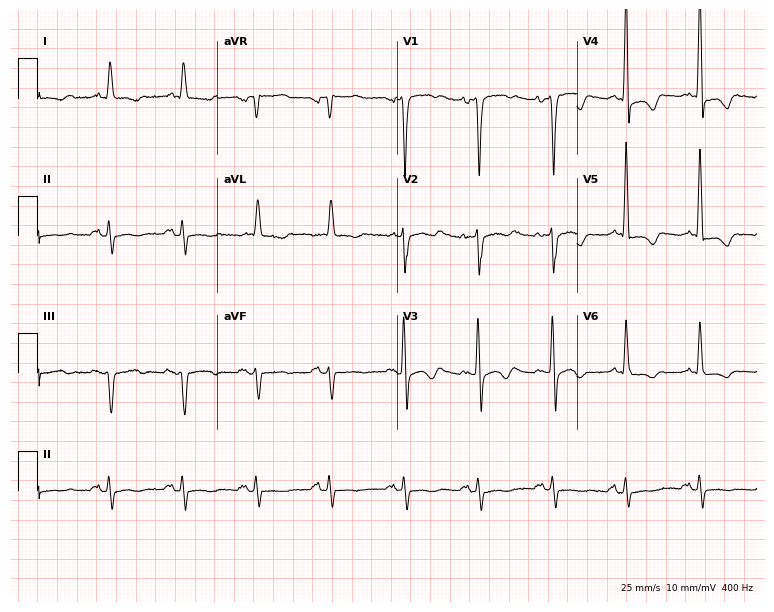
Standard 12-lead ECG recorded from an 80-year-old man (7.3-second recording at 400 Hz). None of these six findings is recorded: first-degree AV block, right bundle branch block (RBBB), left bundle branch block (LBBB), sinus bradycardia, atrial fibrillation (AF), sinus tachycardia.